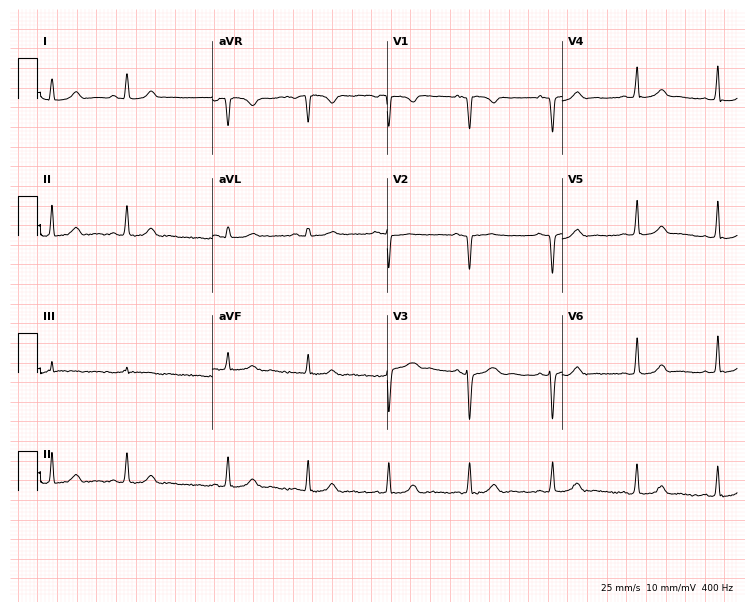
Electrocardiogram (7.1-second recording at 400 Hz), a female patient, 19 years old. Of the six screened findings (first-degree AV block, right bundle branch block, left bundle branch block, sinus bradycardia, atrial fibrillation, sinus tachycardia), none is recorded. Other findings, if any, are not listed.